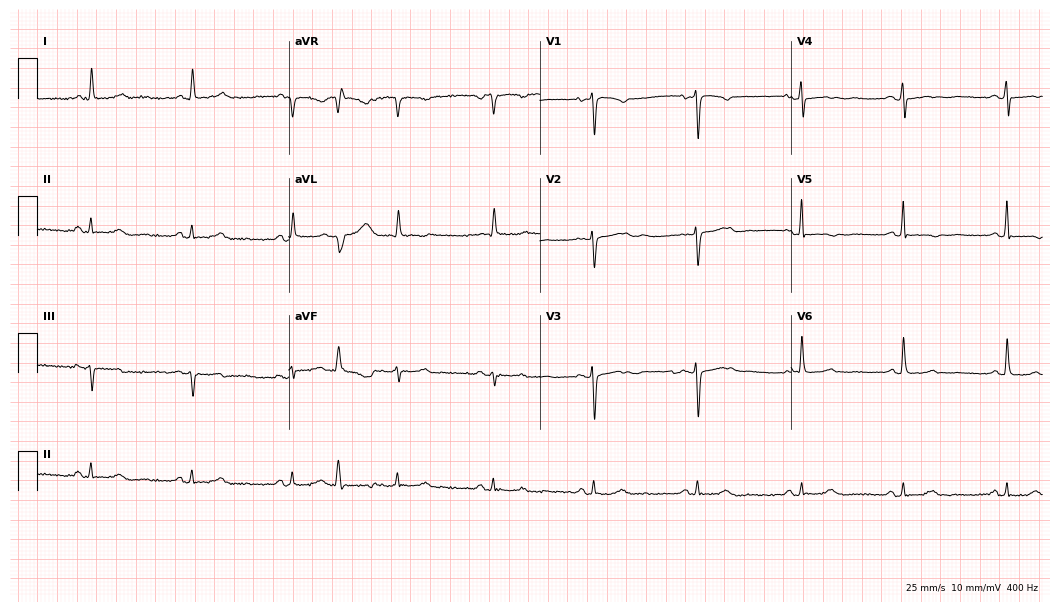
12-lead ECG from a 67-year-old woman (10.2-second recording at 400 Hz). No first-degree AV block, right bundle branch block, left bundle branch block, sinus bradycardia, atrial fibrillation or sinus tachycardia recorded for this tracing. Other findings, if any, are not listed.